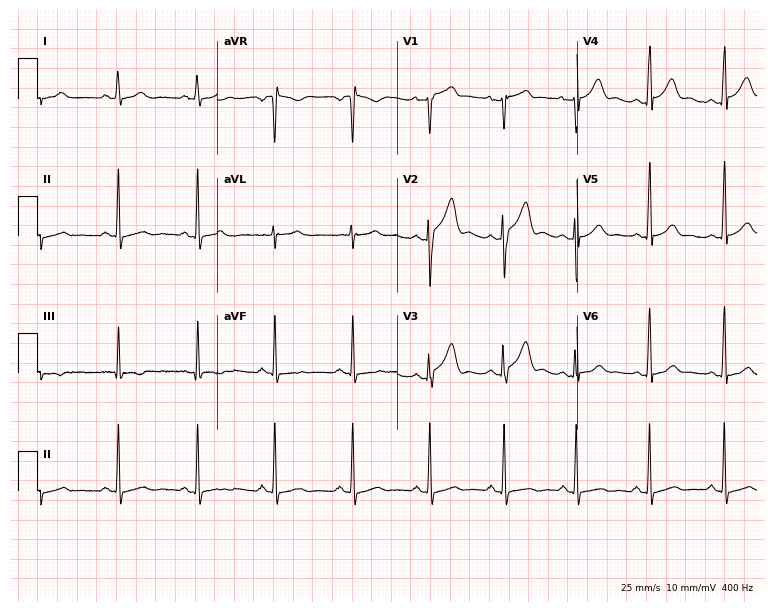
Standard 12-lead ECG recorded from a 24-year-old male (7.3-second recording at 400 Hz). Read as a normal ECG.